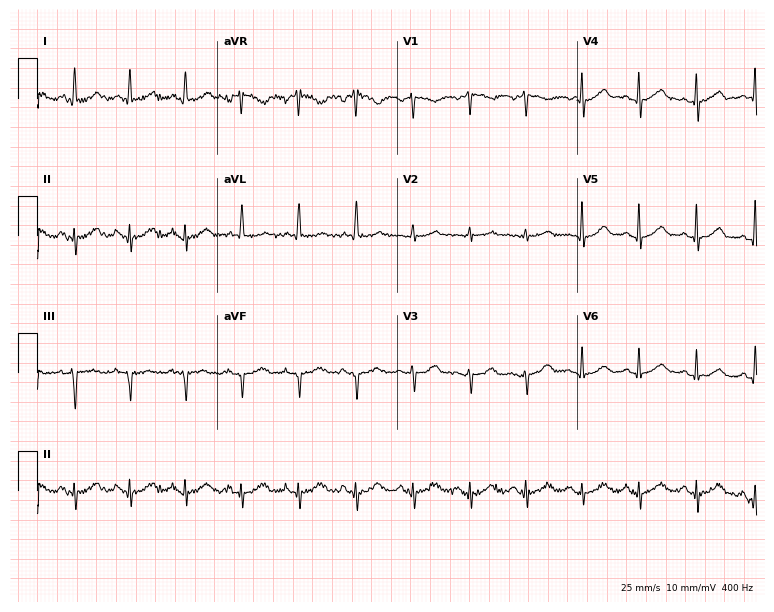
ECG (7.3-second recording at 400 Hz) — a female patient, 73 years old. Screened for six findings — first-degree AV block, right bundle branch block, left bundle branch block, sinus bradycardia, atrial fibrillation, sinus tachycardia — none is recorded.